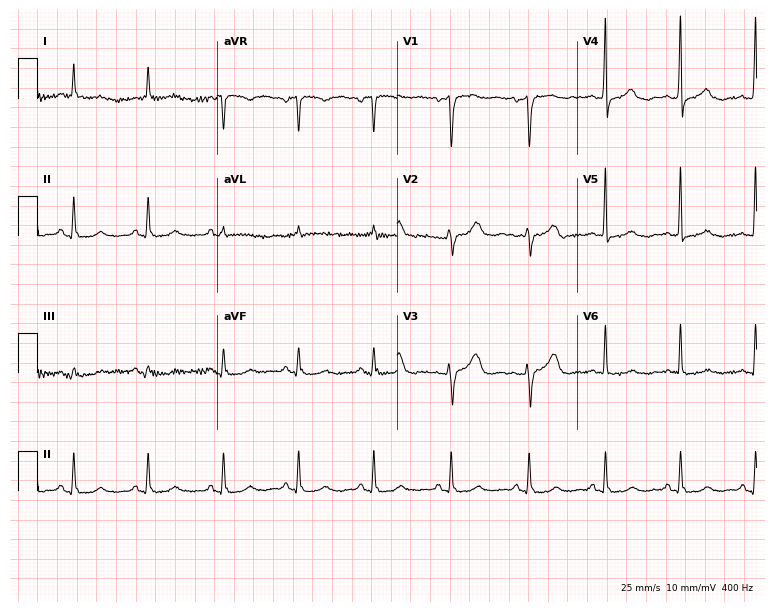
Standard 12-lead ECG recorded from a 64-year-old female patient. Read as a normal ECG.